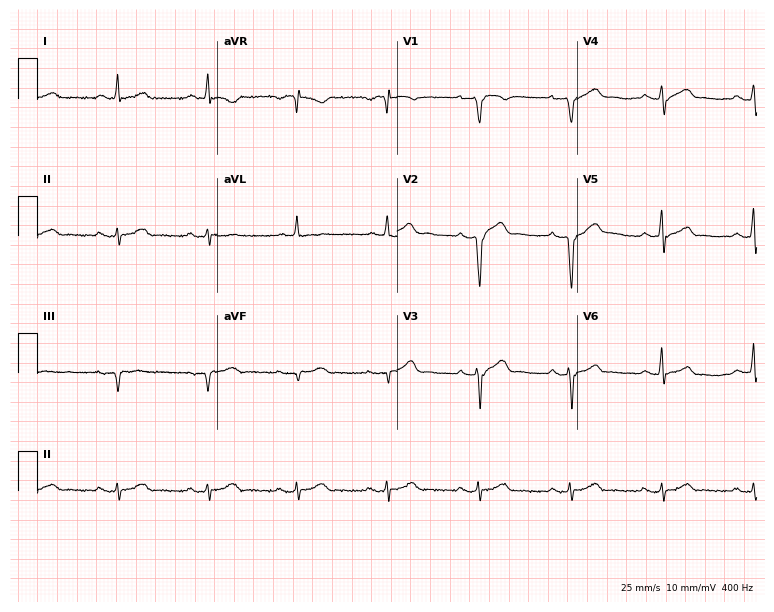
12-lead ECG from a man, 66 years old. Recorded interpretation: within normal limits.